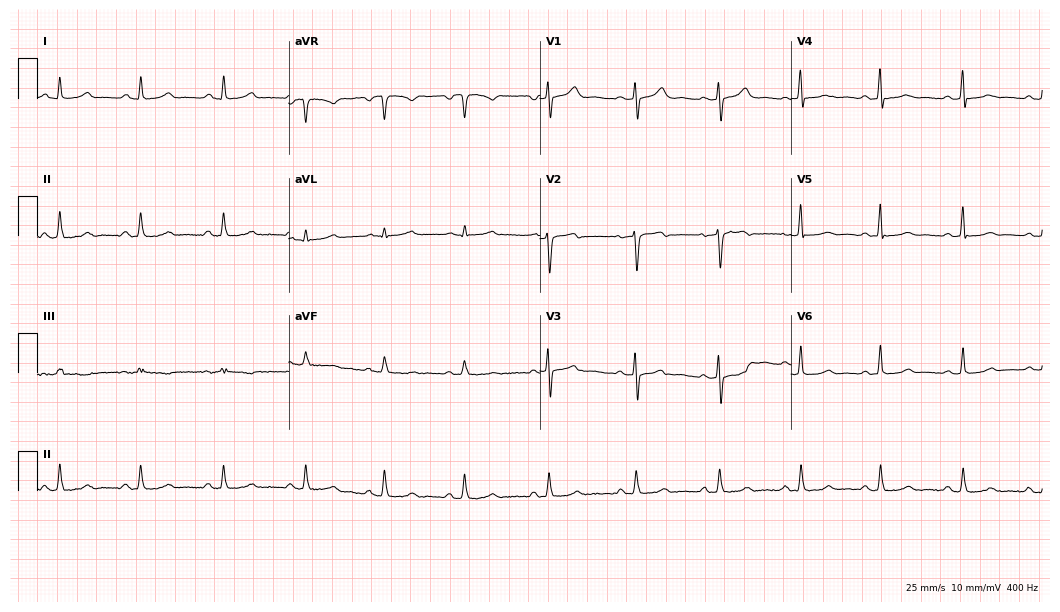
12-lead ECG from a 53-year-old female. Recorded interpretation: within normal limits.